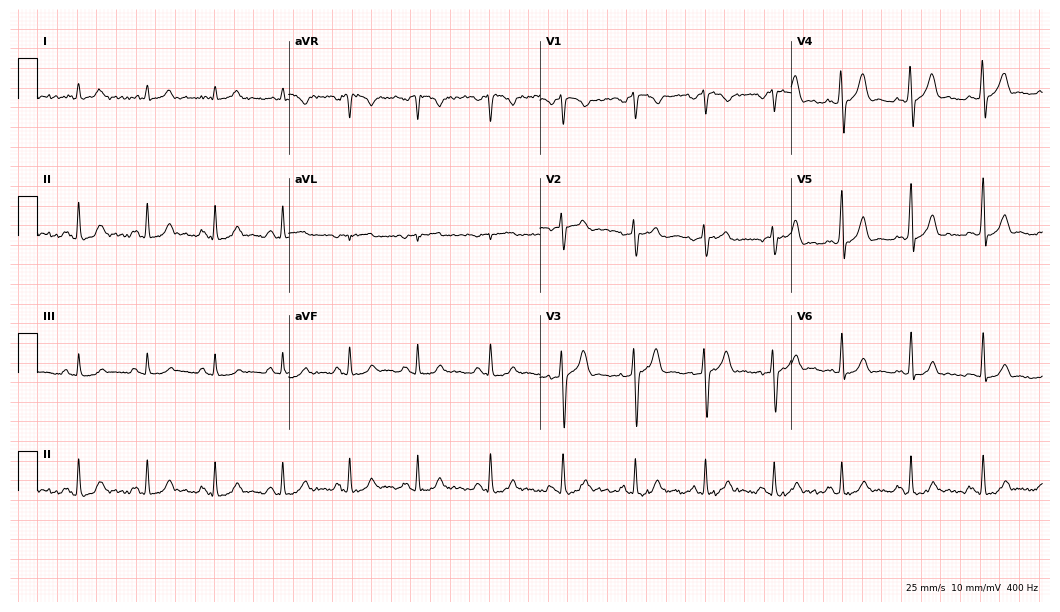
Electrocardiogram, a male, 33 years old. Of the six screened findings (first-degree AV block, right bundle branch block, left bundle branch block, sinus bradycardia, atrial fibrillation, sinus tachycardia), none is recorded. Other findings, if any, are not listed.